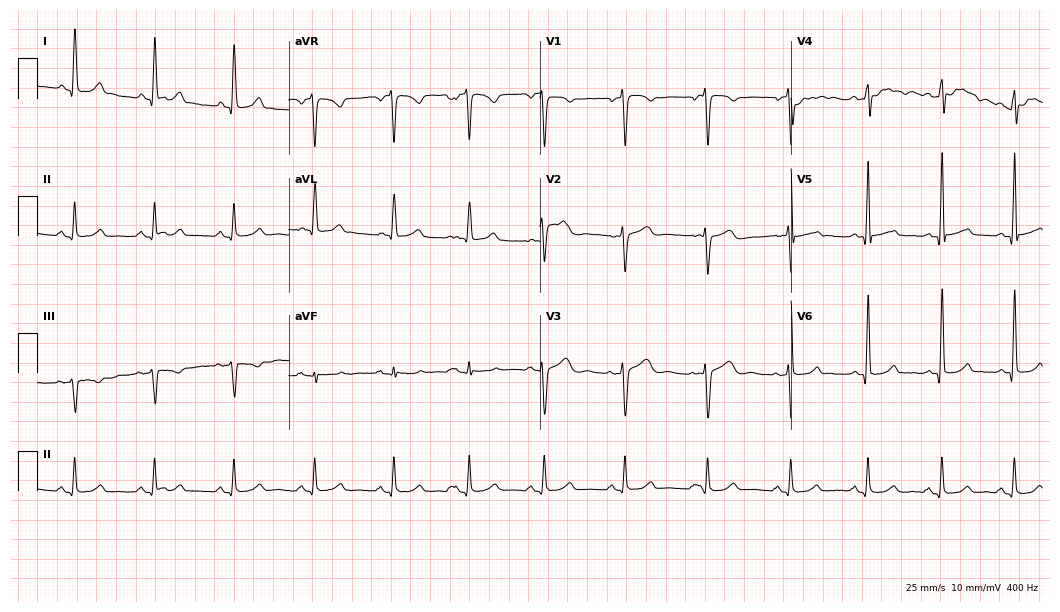
Electrocardiogram (10.2-second recording at 400 Hz), a 38-year-old female. Overall reading on record: normal ECG.